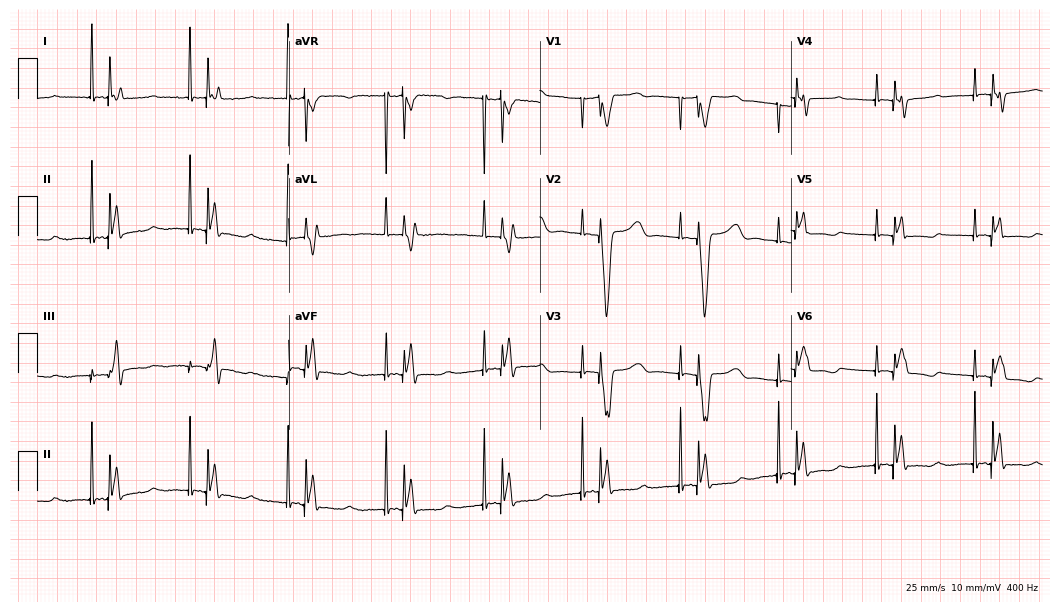
12-lead ECG from a woman, 78 years old. No first-degree AV block, right bundle branch block, left bundle branch block, sinus bradycardia, atrial fibrillation or sinus tachycardia recorded for this tracing. Only these six findings were labelled.